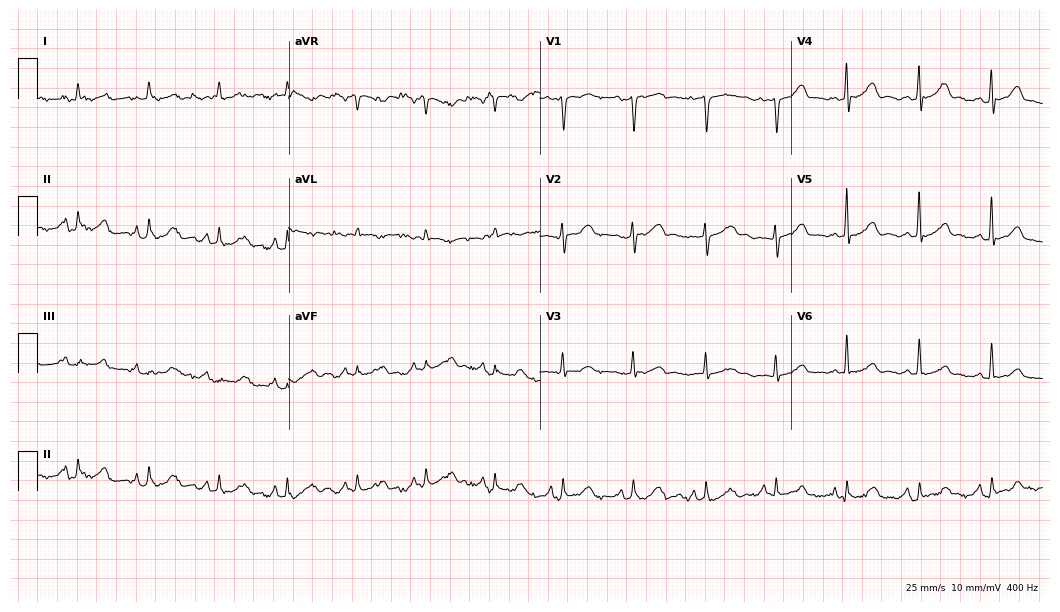
Resting 12-lead electrocardiogram (10.2-second recording at 400 Hz). Patient: a female, 50 years old. None of these six findings is recorded: first-degree AV block, right bundle branch block (RBBB), left bundle branch block (LBBB), sinus bradycardia, atrial fibrillation (AF), sinus tachycardia.